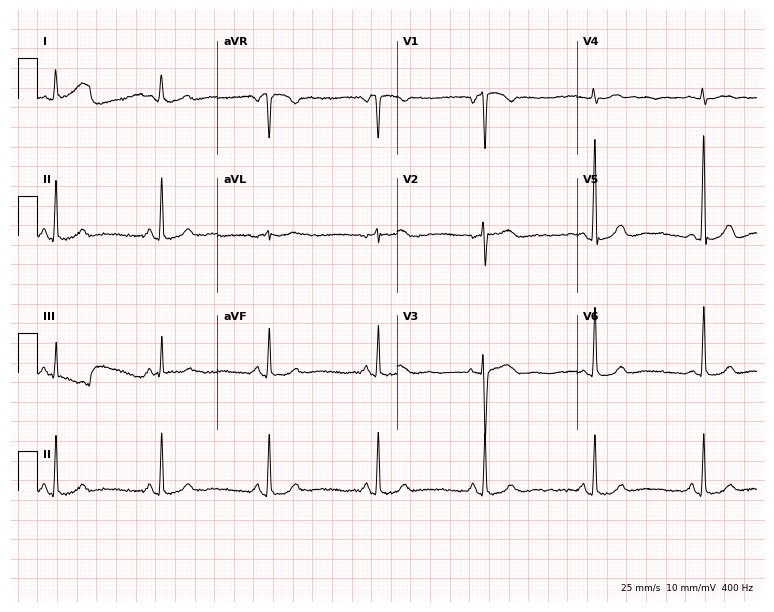
Standard 12-lead ECG recorded from a female, 63 years old. None of these six findings is recorded: first-degree AV block, right bundle branch block (RBBB), left bundle branch block (LBBB), sinus bradycardia, atrial fibrillation (AF), sinus tachycardia. Other findings, if any, are not listed.